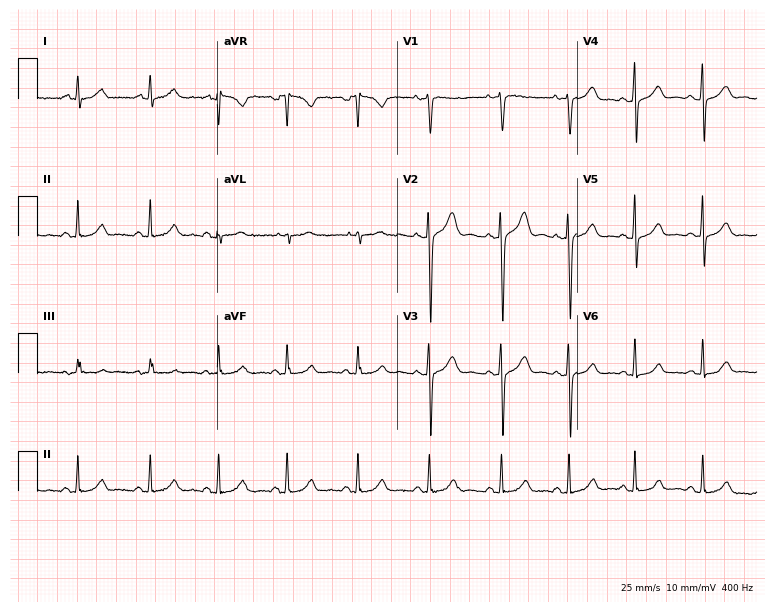
Standard 12-lead ECG recorded from a 28-year-old woman (7.3-second recording at 400 Hz). None of these six findings is recorded: first-degree AV block, right bundle branch block, left bundle branch block, sinus bradycardia, atrial fibrillation, sinus tachycardia.